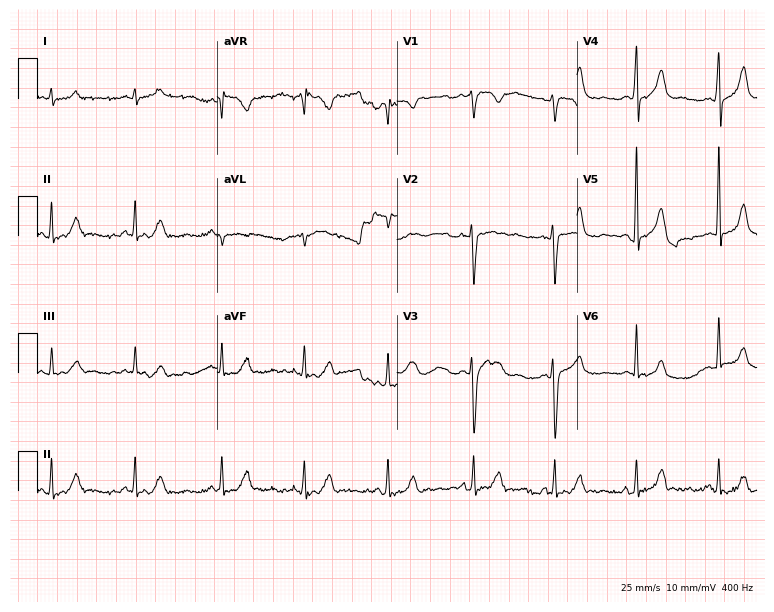
ECG — a female patient, 44 years old. Screened for six findings — first-degree AV block, right bundle branch block (RBBB), left bundle branch block (LBBB), sinus bradycardia, atrial fibrillation (AF), sinus tachycardia — none is recorded.